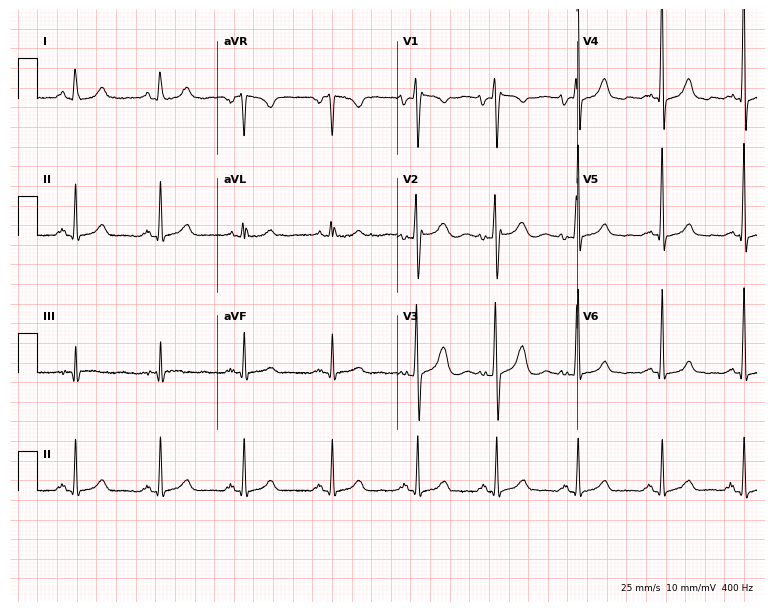
Standard 12-lead ECG recorded from a female, 30 years old. Read as a normal ECG.